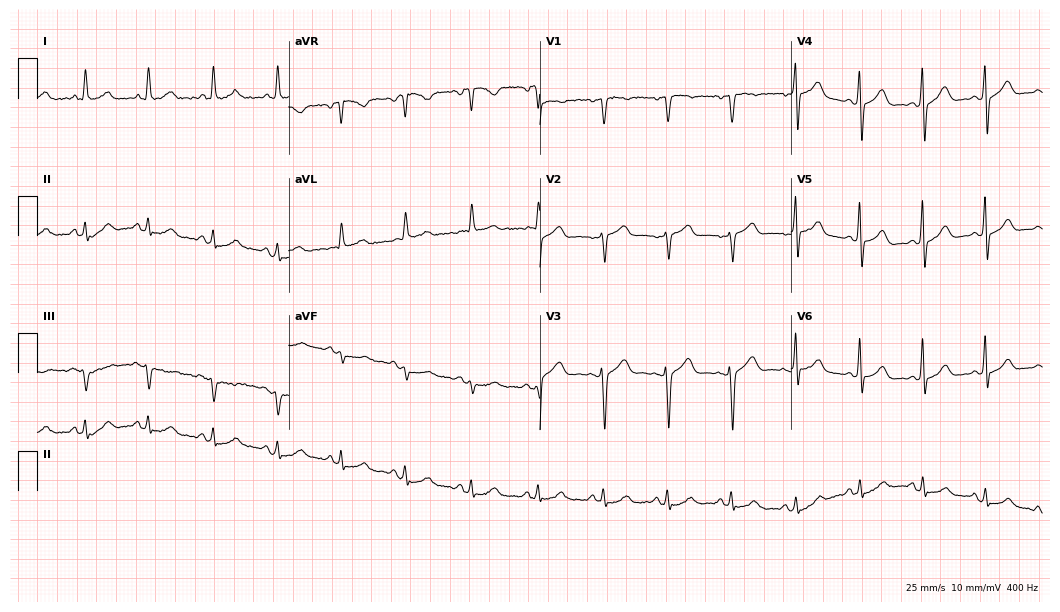
Electrocardiogram, a female patient, 36 years old. Of the six screened findings (first-degree AV block, right bundle branch block (RBBB), left bundle branch block (LBBB), sinus bradycardia, atrial fibrillation (AF), sinus tachycardia), none is recorded.